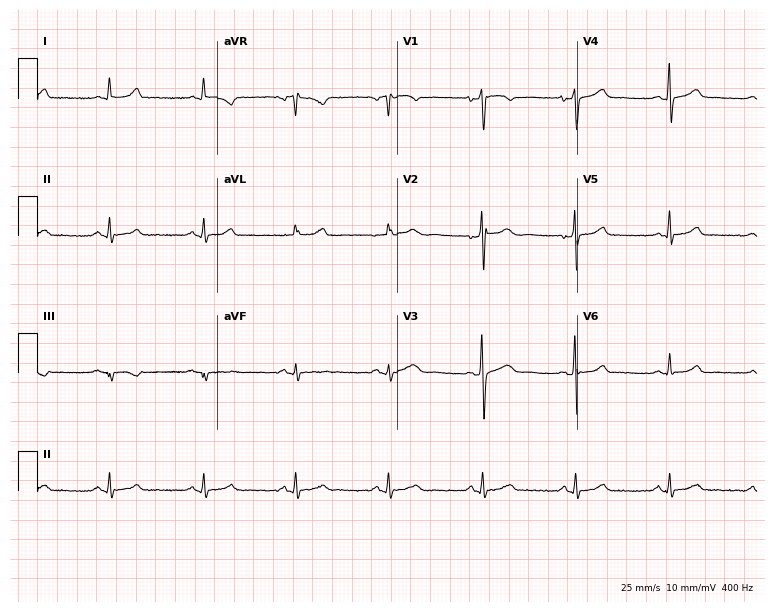
ECG — a female, 51 years old. Labelled as a normal ECG.